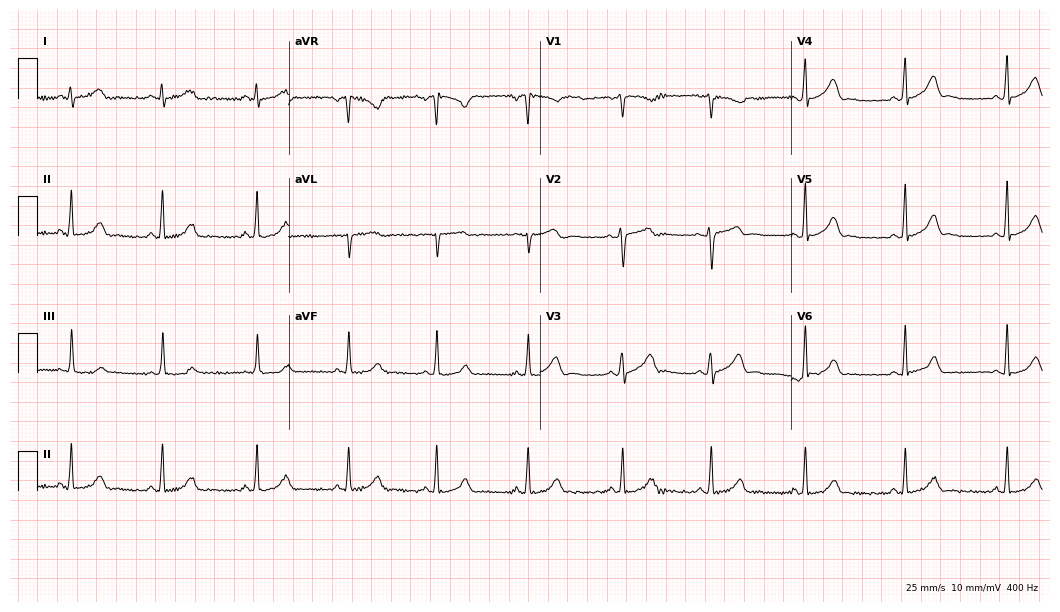
Electrocardiogram (10.2-second recording at 400 Hz), a woman, 27 years old. Overall reading on record: normal ECG.